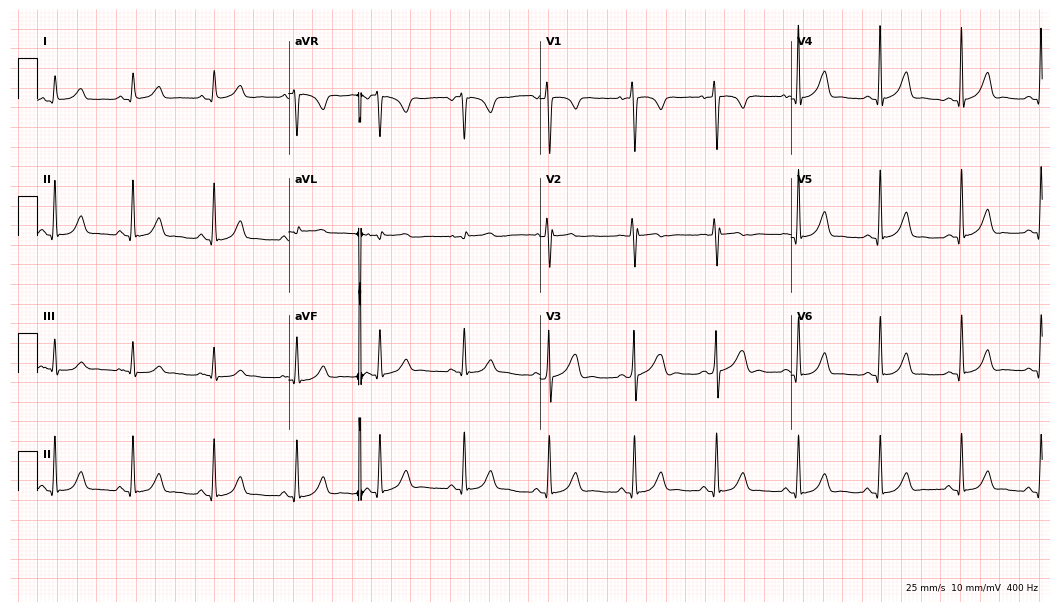
12-lead ECG from an 84-year-old female patient. Labelled as a normal ECG.